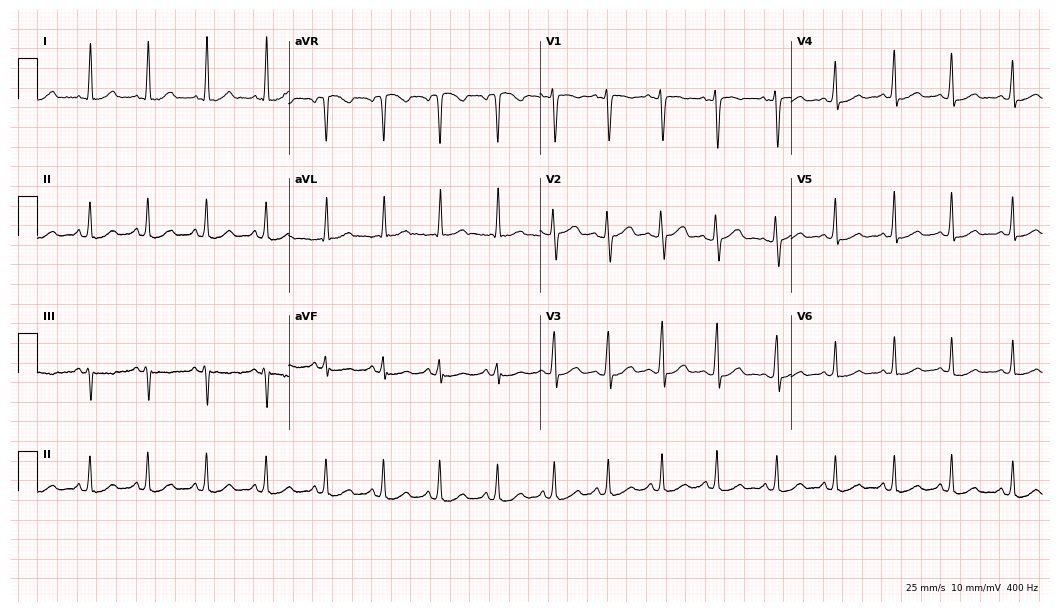
12-lead ECG from a 39-year-old female patient. Findings include sinus tachycardia (a sinus rate of 100 beats per minute or more).